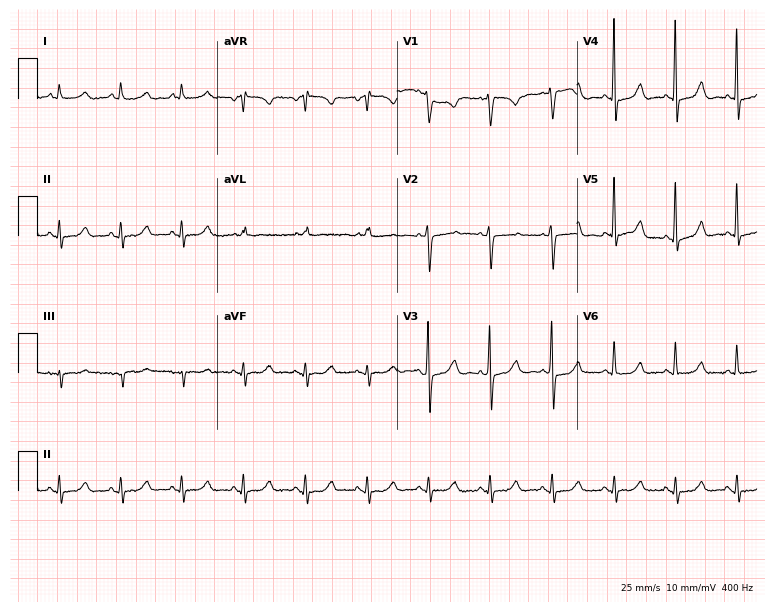
Standard 12-lead ECG recorded from a woman, 72 years old. None of these six findings is recorded: first-degree AV block, right bundle branch block (RBBB), left bundle branch block (LBBB), sinus bradycardia, atrial fibrillation (AF), sinus tachycardia.